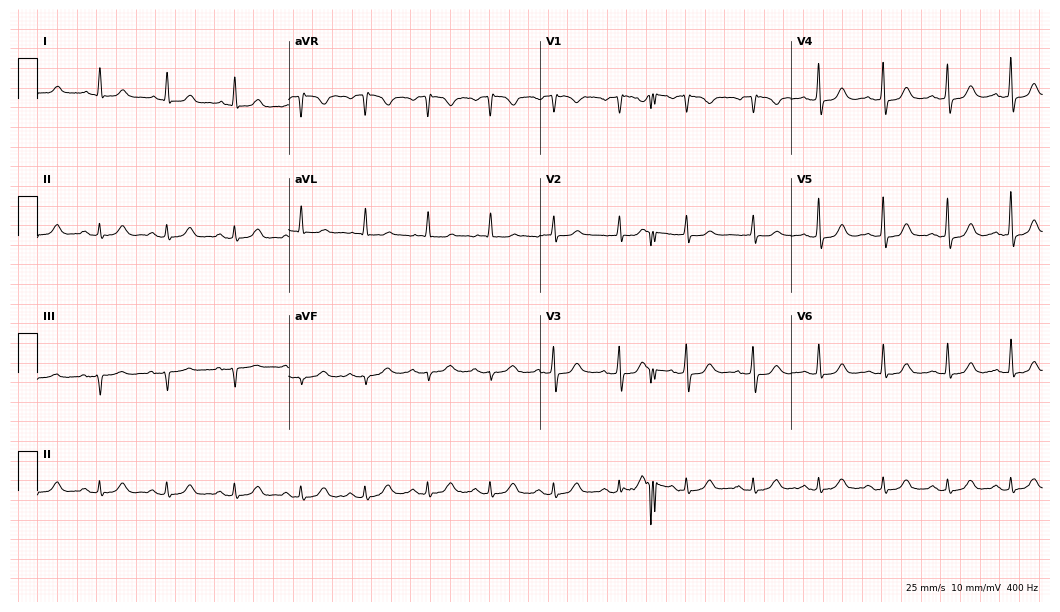
ECG — a 46-year-old female patient. Labelled as a normal ECG.